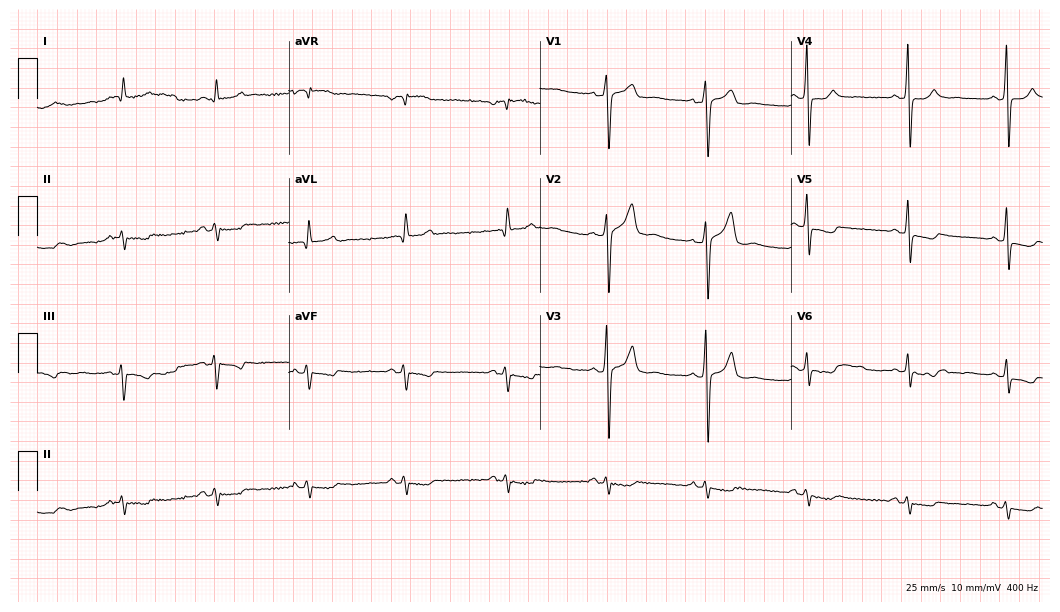
Electrocardiogram (10.2-second recording at 400 Hz), a female, 61 years old. Of the six screened findings (first-degree AV block, right bundle branch block, left bundle branch block, sinus bradycardia, atrial fibrillation, sinus tachycardia), none is recorded. Findings outside these six are not listed.